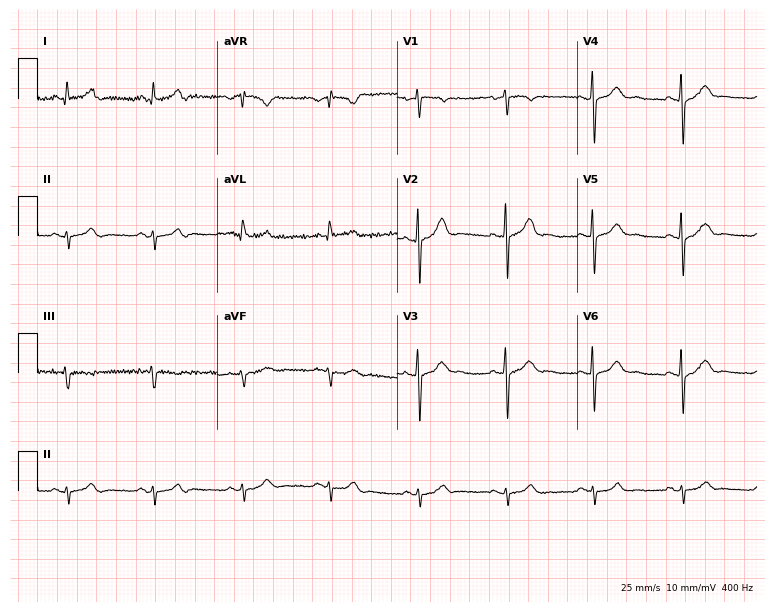
12-lead ECG from a 76-year-old male (7.3-second recording at 400 Hz). No first-degree AV block, right bundle branch block, left bundle branch block, sinus bradycardia, atrial fibrillation or sinus tachycardia recorded for this tracing.